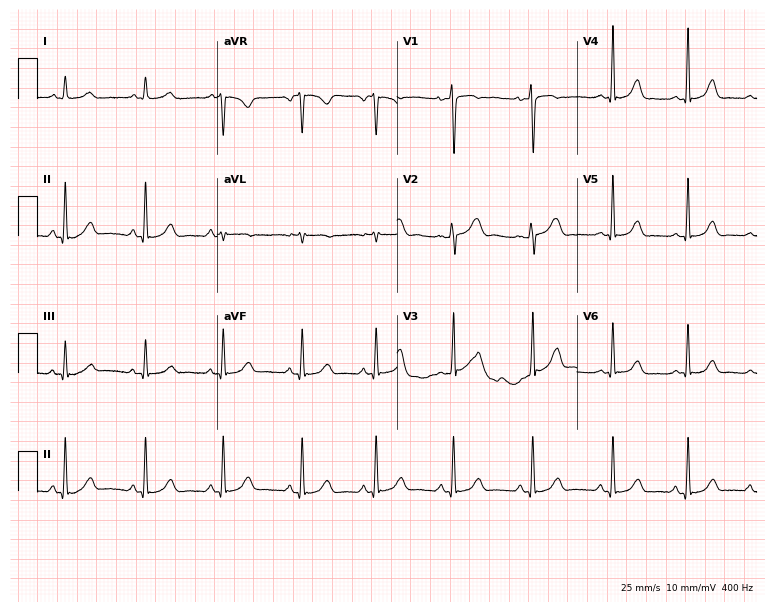
Standard 12-lead ECG recorded from a female, 34 years old (7.3-second recording at 400 Hz). Read as a normal ECG.